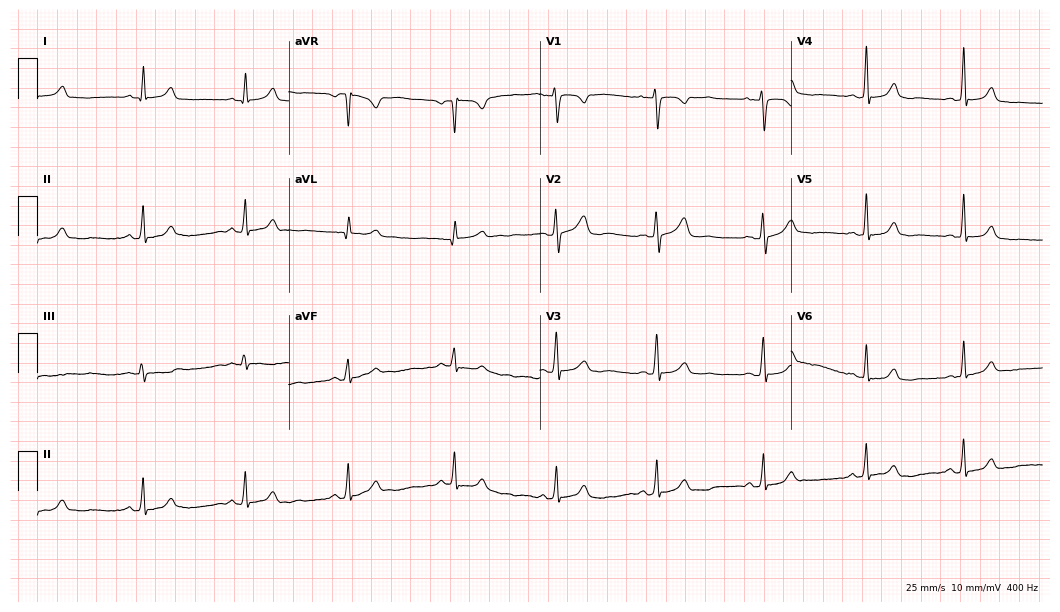
Electrocardiogram (10.2-second recording at 400 Hz), a 29-year-old female. Overall reading on record: normal ECG.